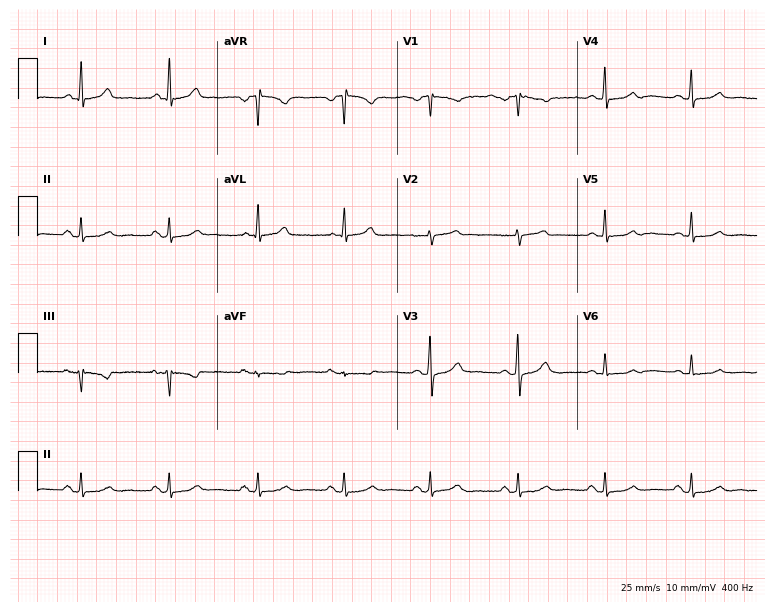
Standard 12-lead ECG recorded from a 58-year-old female patient. Read as a normal ECG.